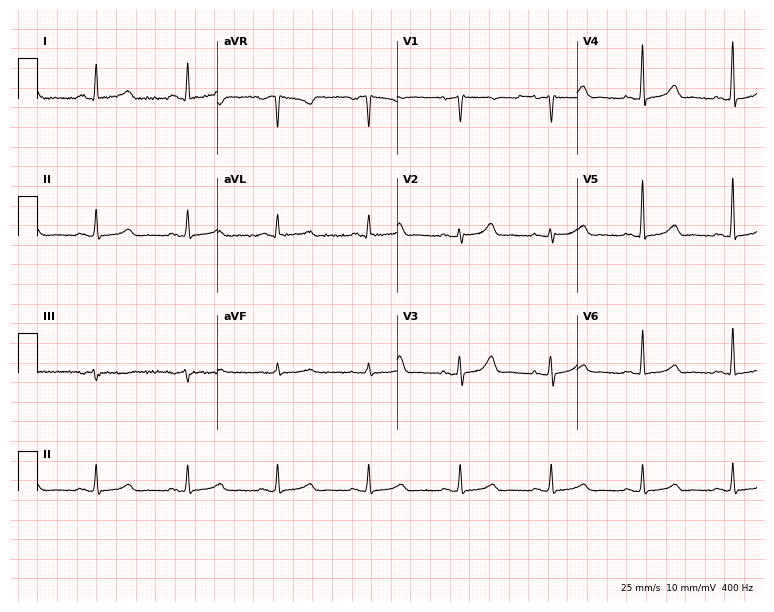
Standard 12-lead ECG recorded from a female, 56 years old. Read as a normal ECG.